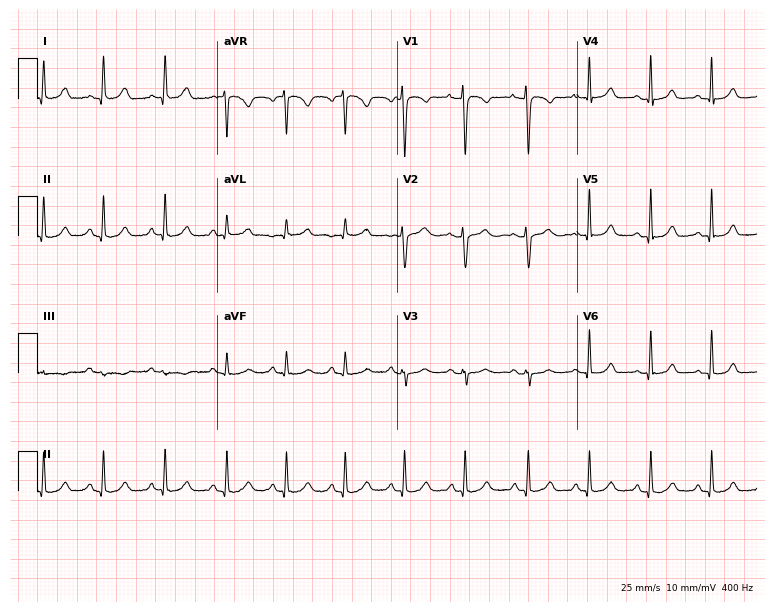
Standard 12-lead ECG recorded from a 36-year-old woman. Read as a normal ECG.